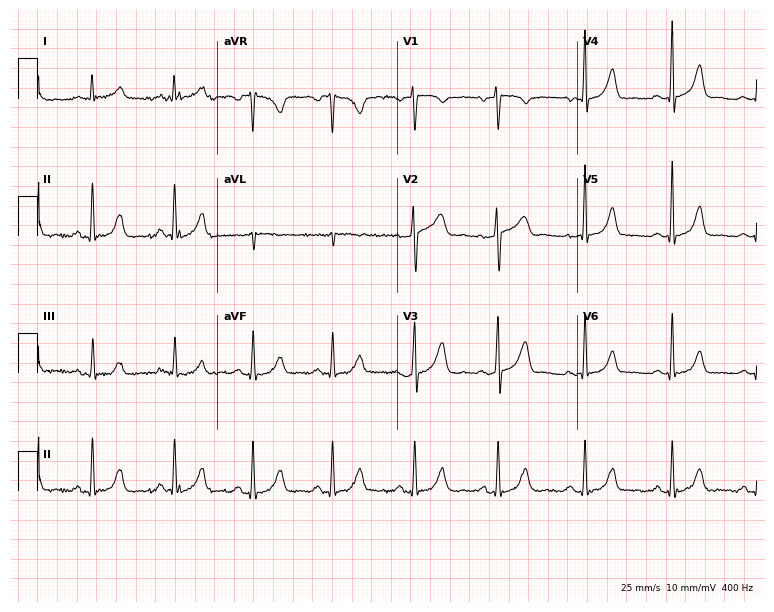
Standard 12-lead ECG recorded from a woman, 32 years old. None of these six findings is recorded: first-degree AV block, right bundle branch block, left bundle branch block, sinus bradycardia, atrial fibrillation, sinus tachycardia. Findings outside these six are not listed.